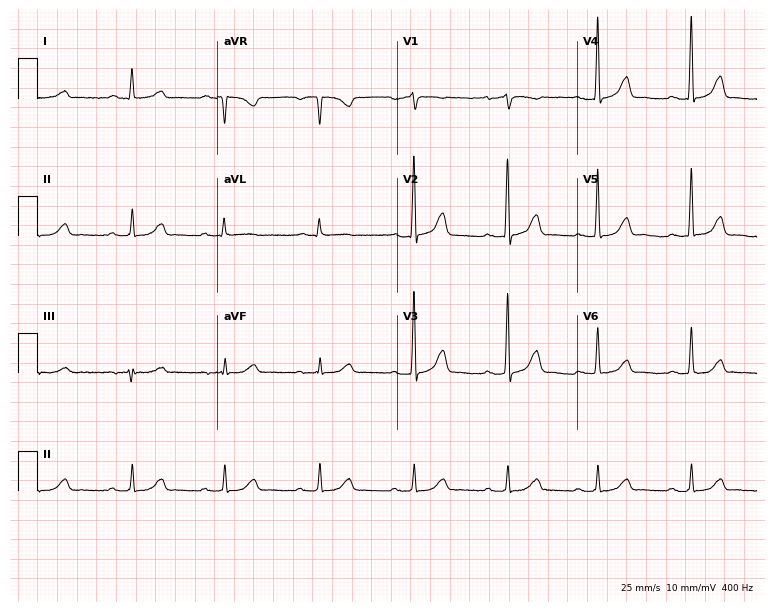
ECG — a 77-year-old female. Findings include first-degree AV block.